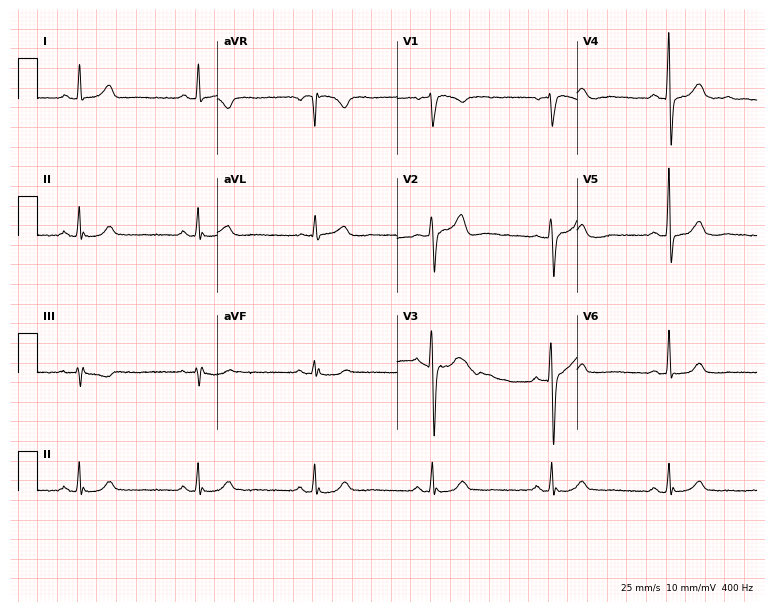
Electrocardiogram (7.3-second recording at 400 Hz), a female, 75 years old. Overall reading on record: normal ECG.